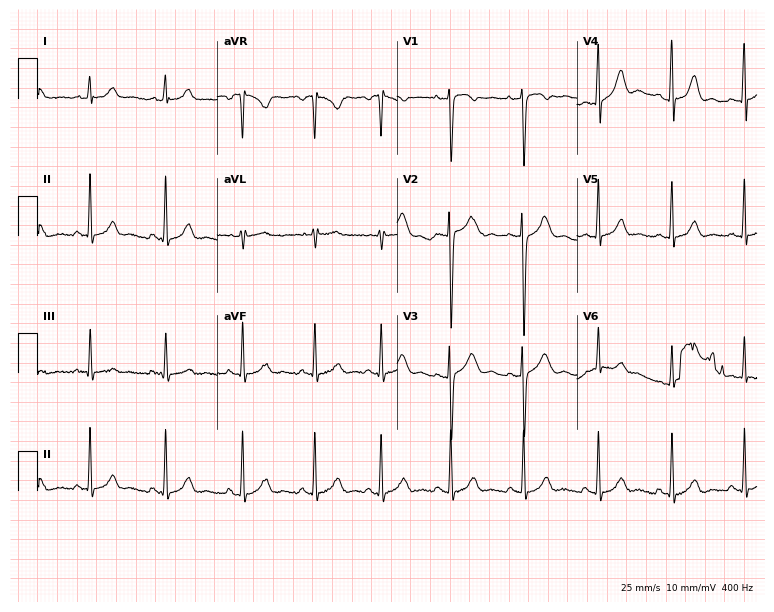
Electrocardiogram (7.3-second recording at 400 Hz), a female, 24 years old. Overall reading on record: normal ECG.